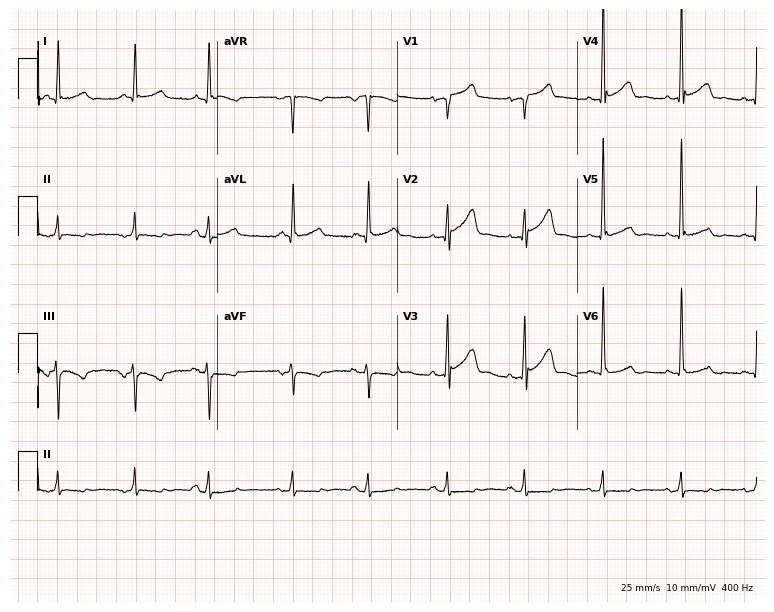
12-lead ECG from a man, 71 years old. No first-degree AV block, right bundle branch block, left bundle branch block, sinus bradycardia, atrial fibrillation or sinus tachycardia recorded for this tracing.